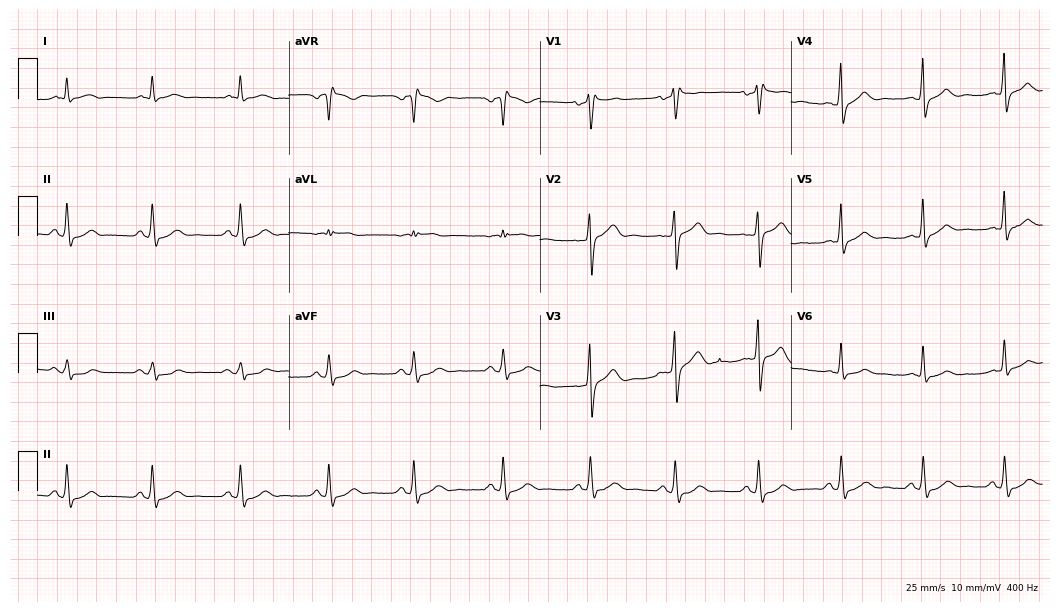
12-lead ECG (10.2-second recording at 400 Hz) from a 56-year-old man. Screened for six findings — first-degree AV block, right bundle branch block, left bundle branch block, sinus bradycardia, atrial fibrillation, sinus tachycardia — none is recorded.